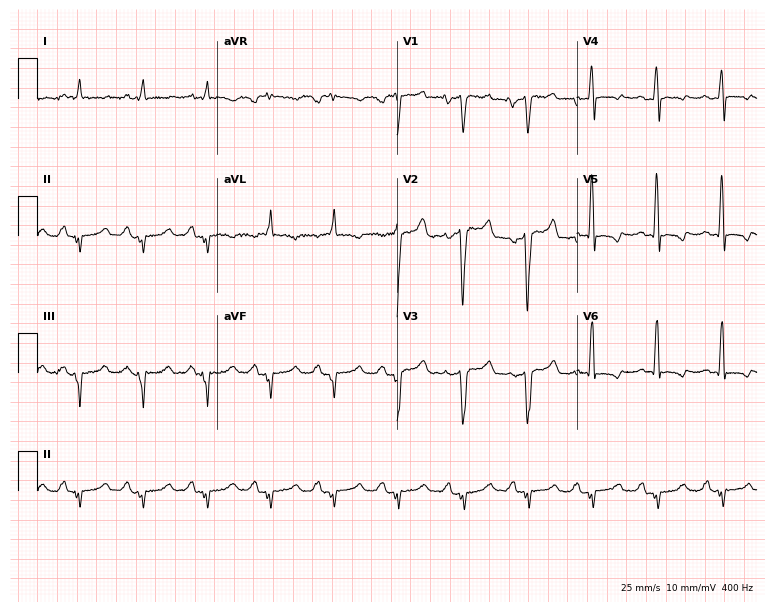
12-lead ECG from a male patient, 45 years old. Screened for six findings — first-degree AV block, right bundle branch block, left bundle branch block, sinus bradycardia, atrial fibrillation, sinus tachycardia — none is recorded. Other findings, if any, are not listed.